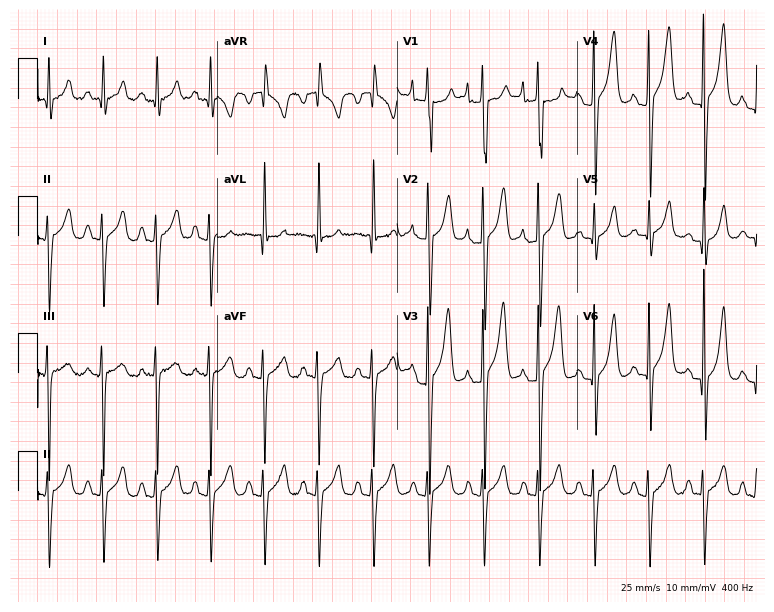
Electrocardiogram, a 21-year-old male. Interpretation includes sinus tachycardia (a sinus rate of 100 beats per minute or more).